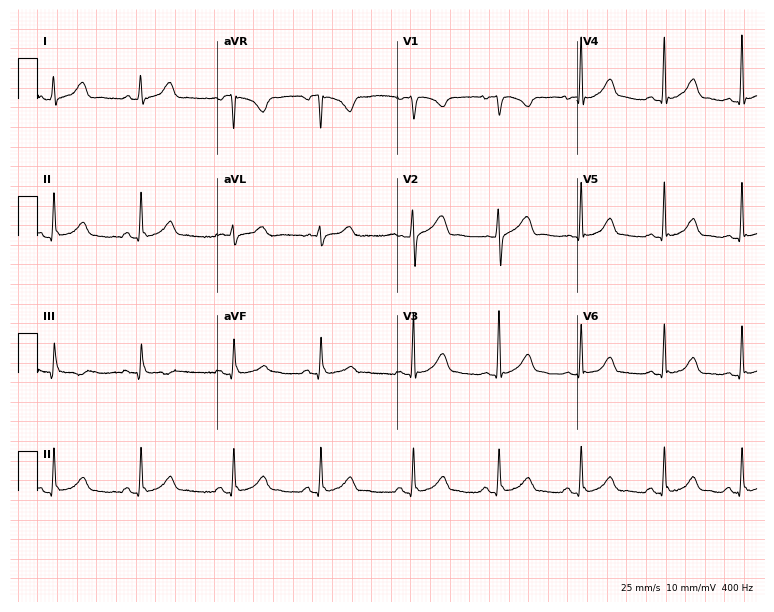
ECG — an 18-year-old female. Labelled as a normal ECG.